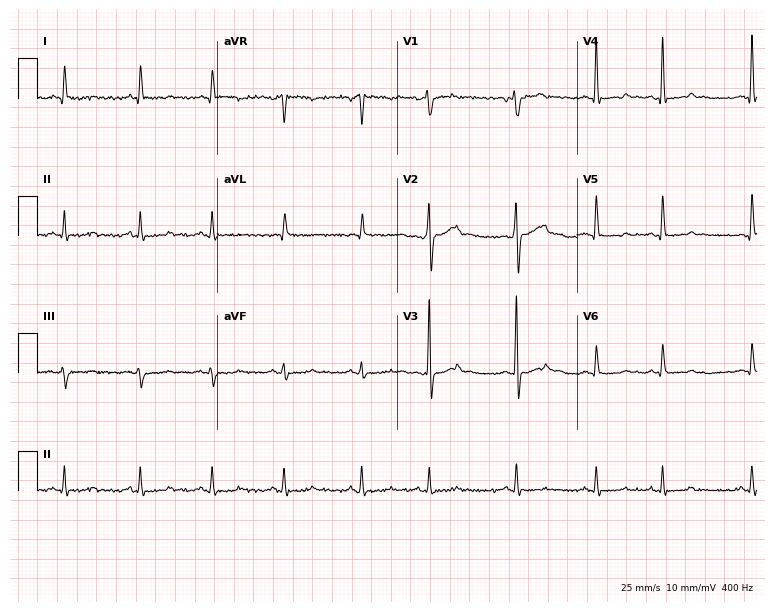
Electrocardiogram, a man, 58 years old. Of the six screened findings (first-degree AV block, right bundle branch block, left bundle branch block, sinus bradycardia, atrial fibrillation, sinus tachycardia), none is recorded. Only these six findings were labelled.